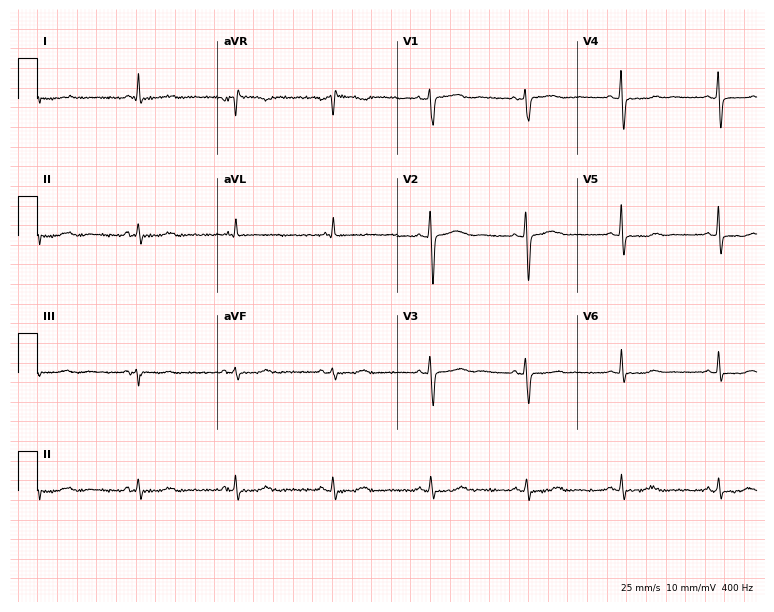
12-lead ECG from a female patient, 60 years old. Screened for six findings — first-degree AV block, right bundle branch block, left bundle branch block, sinus bradycardia, atrial fibrillation, sinus tachycardia — none is recorded. Findings outside these six are not listed.